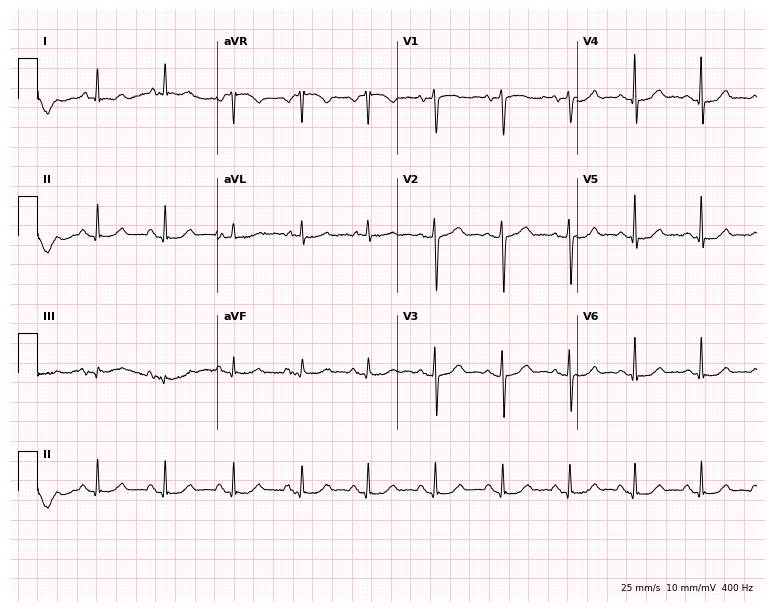
12-lead ECG (7.3-second recording at 400 Hz) from a woman, 74 years old. Screened for six findings — first-degree AV block, right bundle branch block, left bundle branch block, sinus bradycardia, atrial fibrillation, sinus tachycardia — none is recorded. Only these six findings were labelled.